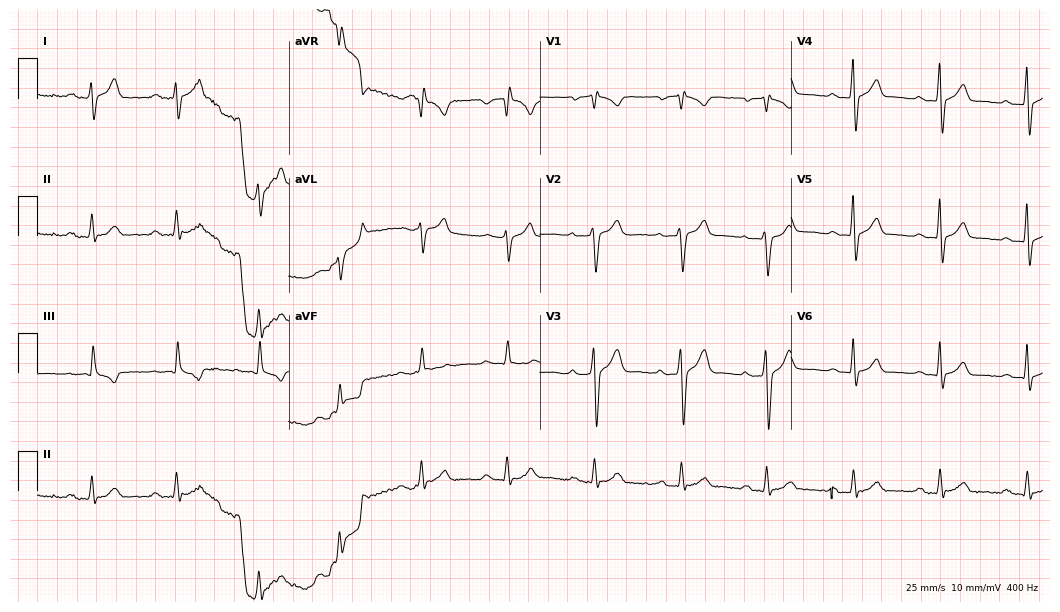
Standard 12-lead ECG recorded from a 40-year-old male patient (10.2-second recording at 400 Hz). The tracing shows first-degree AV block.